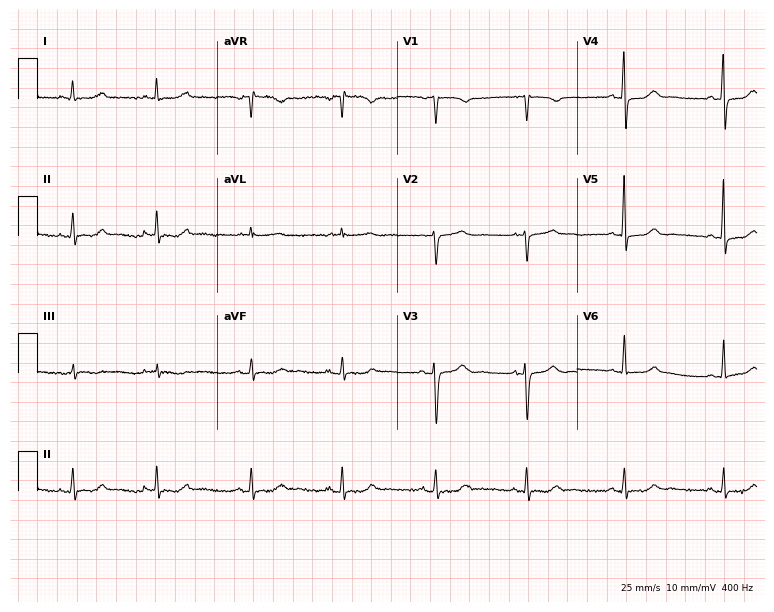
Standard 12-lead ECG recorded from a female, 62 years old. Read as a normal ECG.